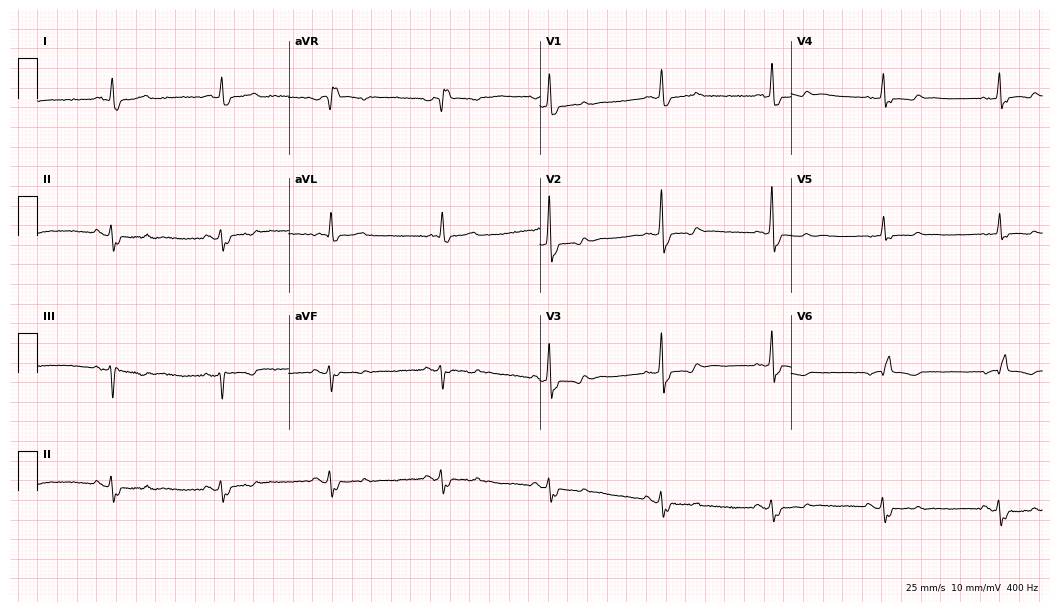
Electrocardiogram, a 77-year-old female patient. Of the six screened findings (first-degree AV block, right bundle branch block, left bundle branch block, sinus bradycardia, atrial fibrillation, sinus tachycardia), none is recorded. Other findings, if any, are not listed.